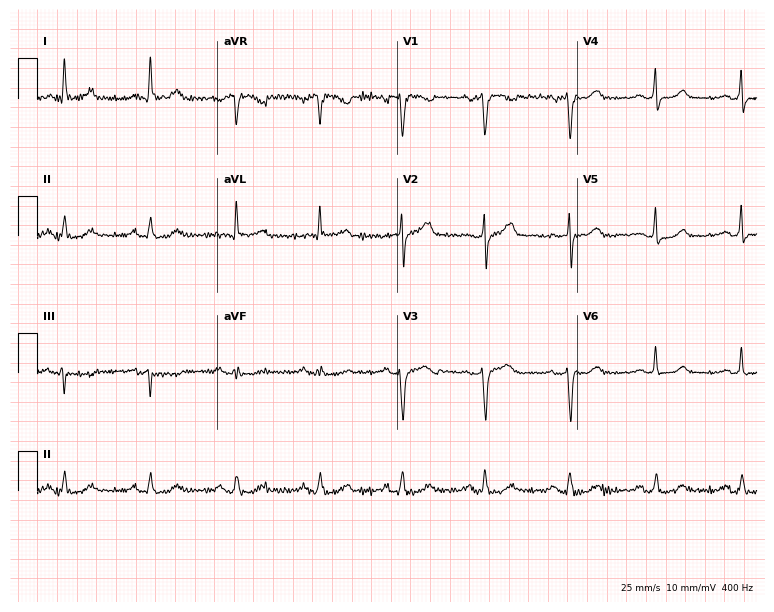
Electrocardiogram, a 54-year-old female. Of the six screened findings (first-degree AV block, right bundle branch block, left bundle branch block, sinus bradycardia, atrial fibrillation, sinus tachycardia), none is recorded. Only these six findings were labelled.